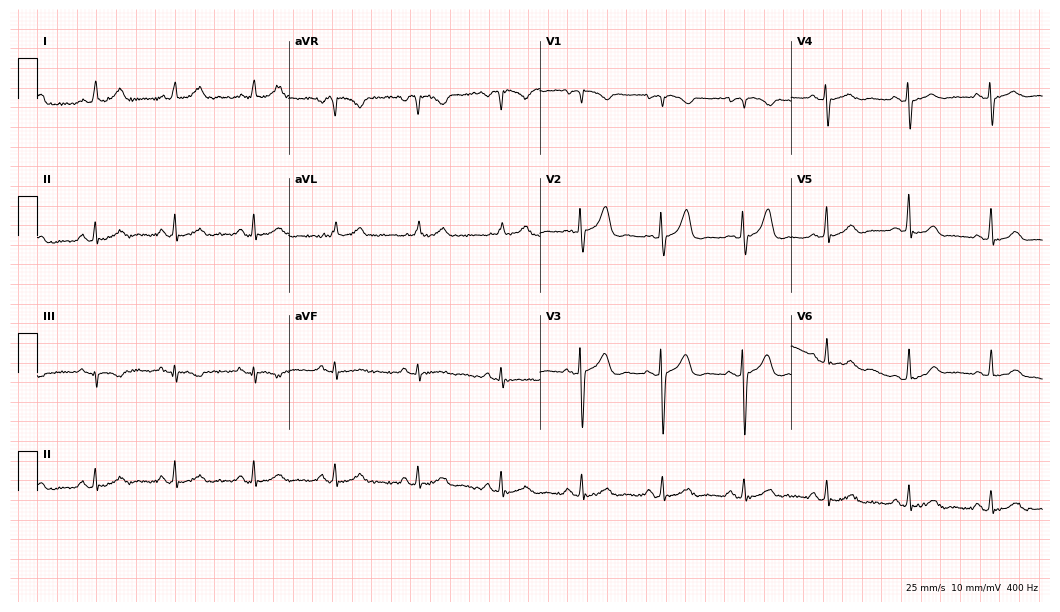
12-lead ECG from a woman, 76 years old. Recorded interpretation: within normal limits.